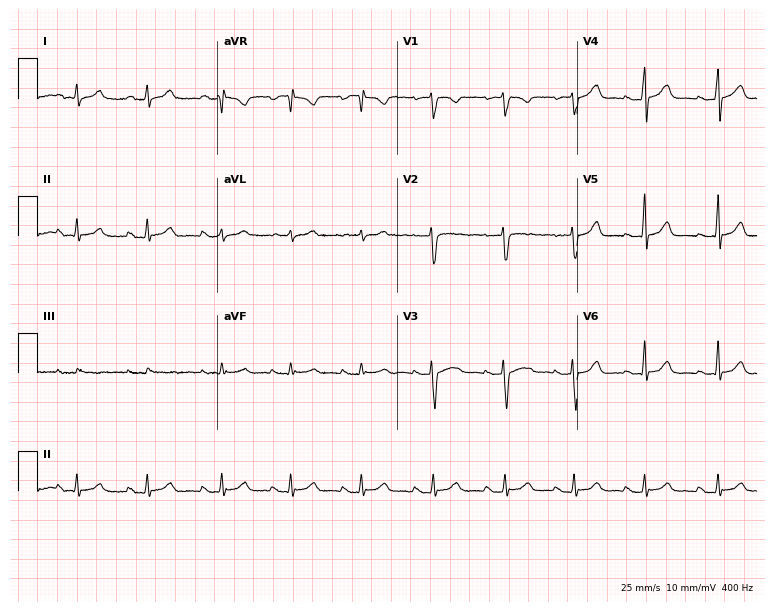
12-lead ECG (7.3-second recording at 400 Hz) from a female patient, 28 years old. Labelled as a normal ECG.